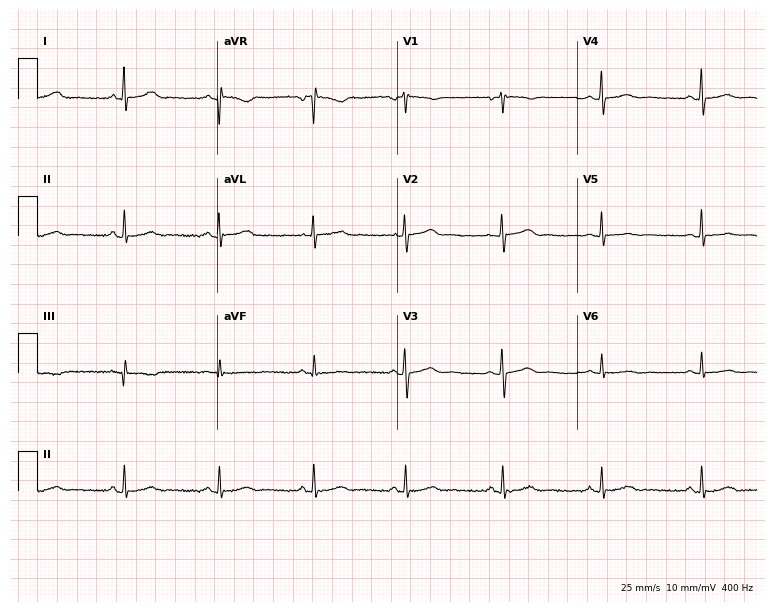
Resting 12-lead electrocardiogram (7.3-second recording at 400 Hz). Patient: a 49-year-old woman. None of these six findings is recorded: first-degree AV block, right bundle branch block, left bundle branch block, sinus bradycardia, atrial fibrillation, sinus tachycardia. Other findings, if any, are not listed.